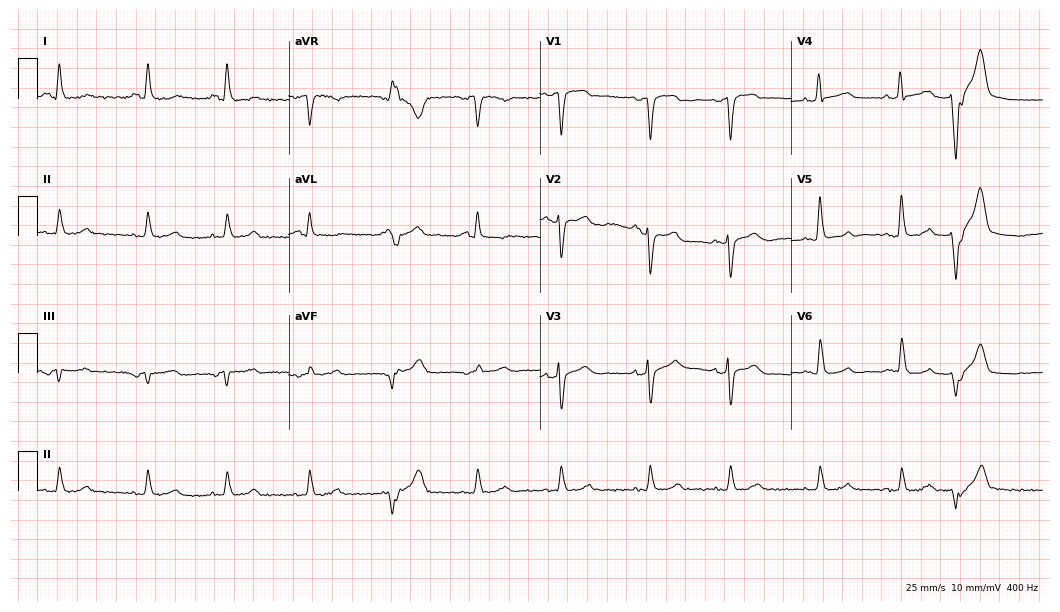
Resting 12-lead electrocardiogram (10.2-second recording at 400 Hz). Patient: a man, 48 years old. None of these six findings is recorded: first-degree AV block, right bundle branch block, left bundle branch block, sinus bradycardia, atrial fibrillation, sinus tachycardia. Other findings, if any, are not listed.